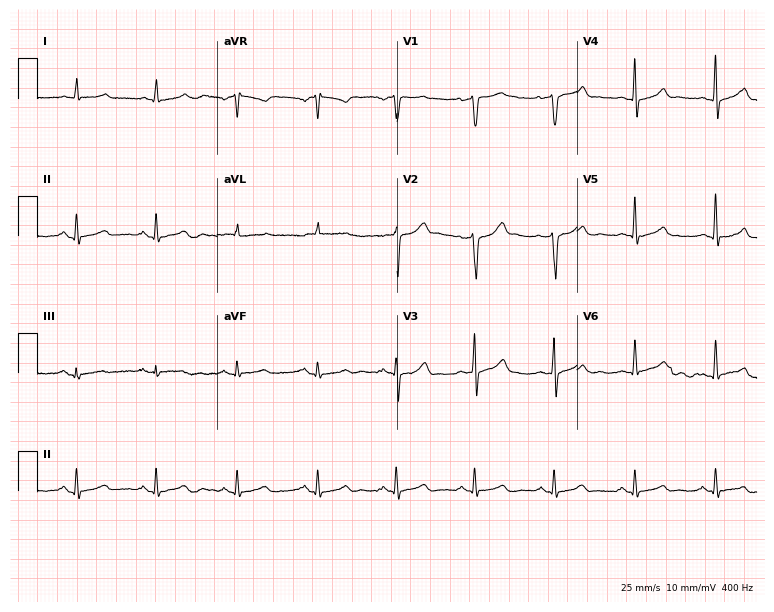
12-lead ECG from a male patient, 62 years old. Labelled as a normal ECG.